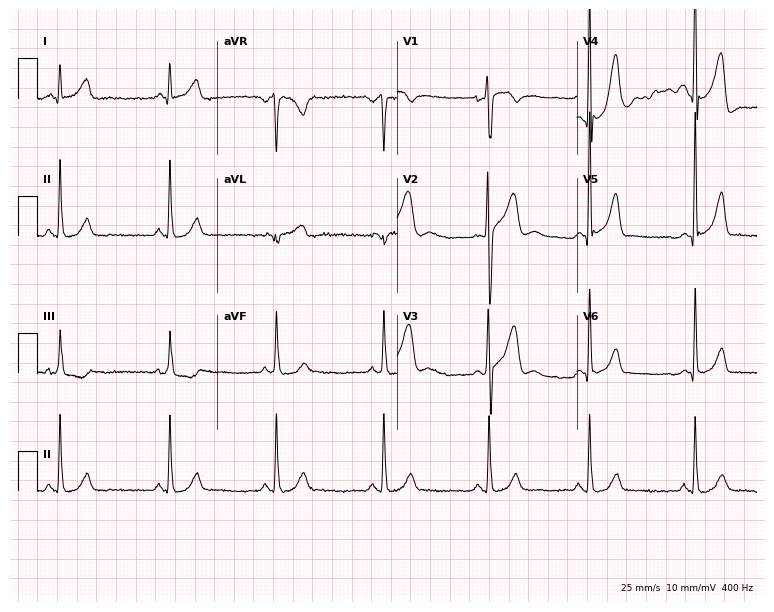
12-lead ECG from a 31-year-old male patient (7.3-second recording at 400 Hz). Recorded interpretation: within normal limits.